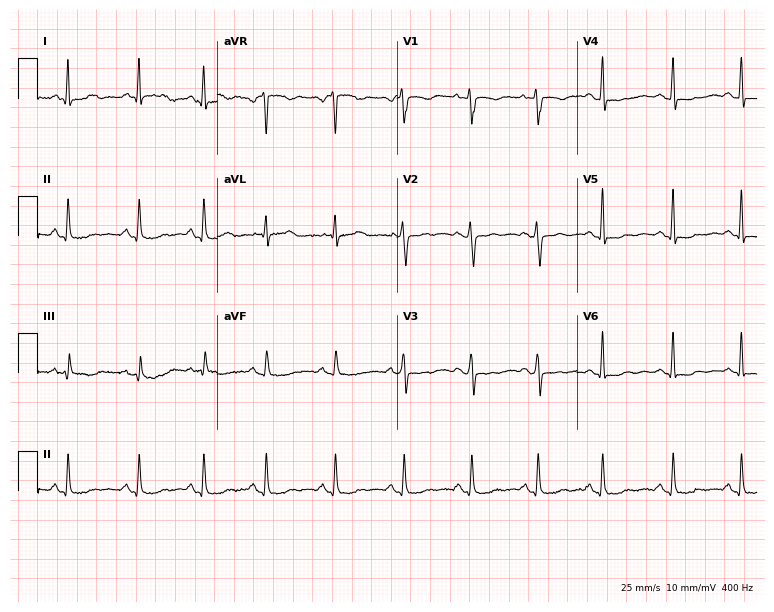
Standard 12-lead ECG recorded from a 50-year-old female (7.3-second recording at 400 Hz). Read as a normal ECG.